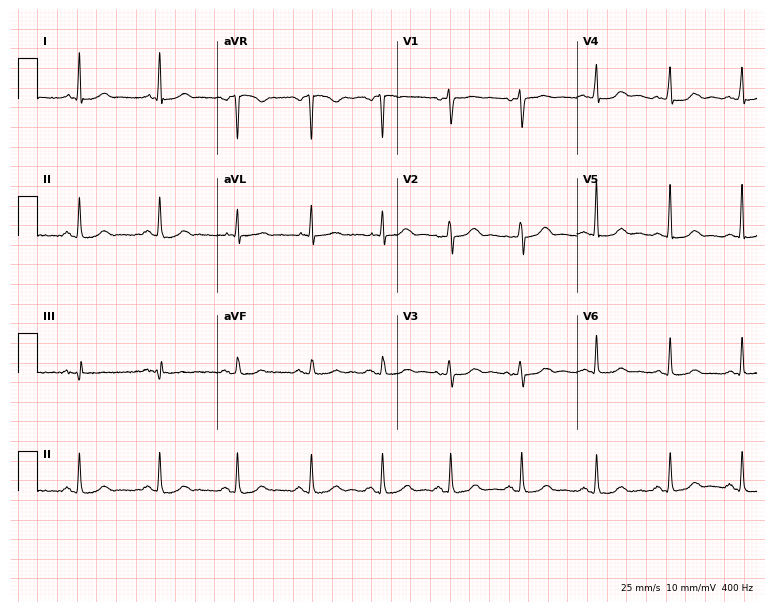
Electrocardiogram, a female, 52 years old. Overall reading on record: normal ECG.